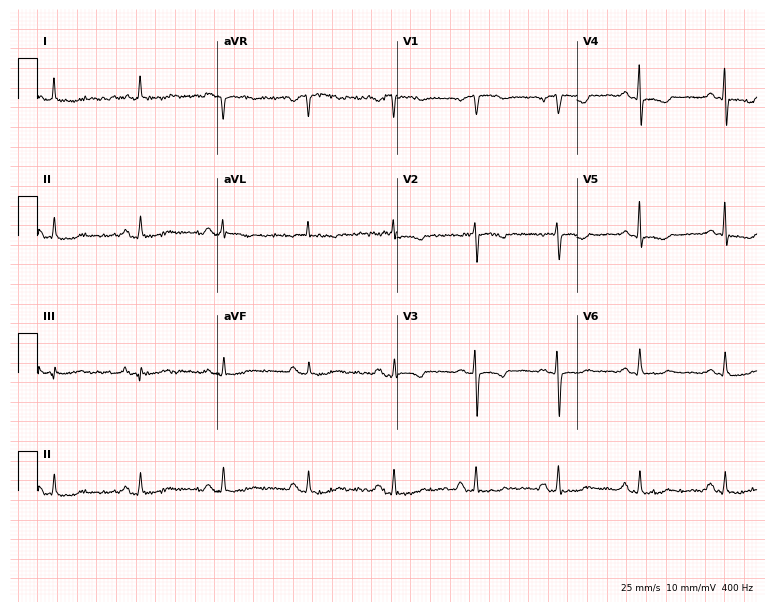
Electrocardiogram, an 80-year-old woman. Of the six screened findings (first-degree AV block, right bundle branch block (RBBB), left bundle branch block (LBBB), sinus bradycardia, atrial fibrillation (AF), sinus tachycardia), none is recorded. Only these six findings were labelled.